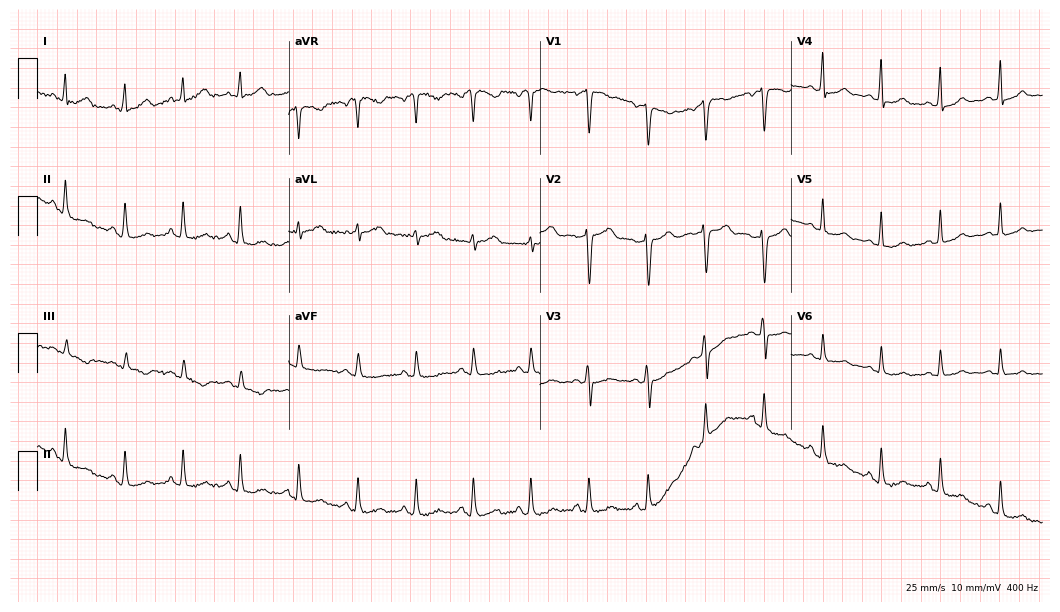
12-lead ECG from a 22-year-old female patient. Recorded interpretation: within normal limits.